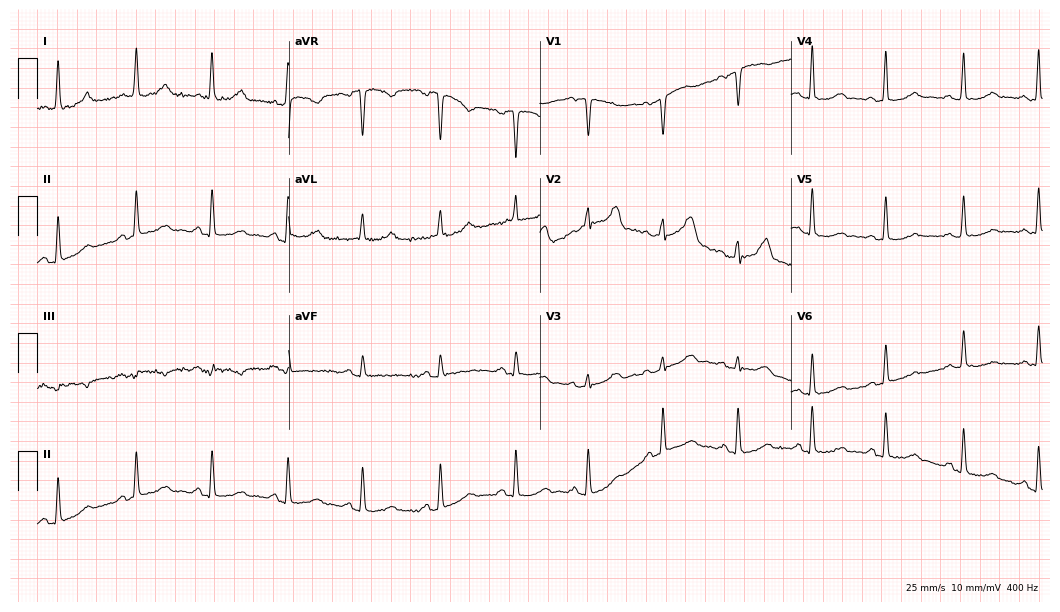
Resting 12-lead electrocardiogram (10.2-second recording at 400 Hz). Patient: a female, 48 years old. None of these six findings is recorded: first-degree AV block, right bundle branch block, left bundle branch block, sinus bradycardia, atrial fibrillation, sinus tachycardia.